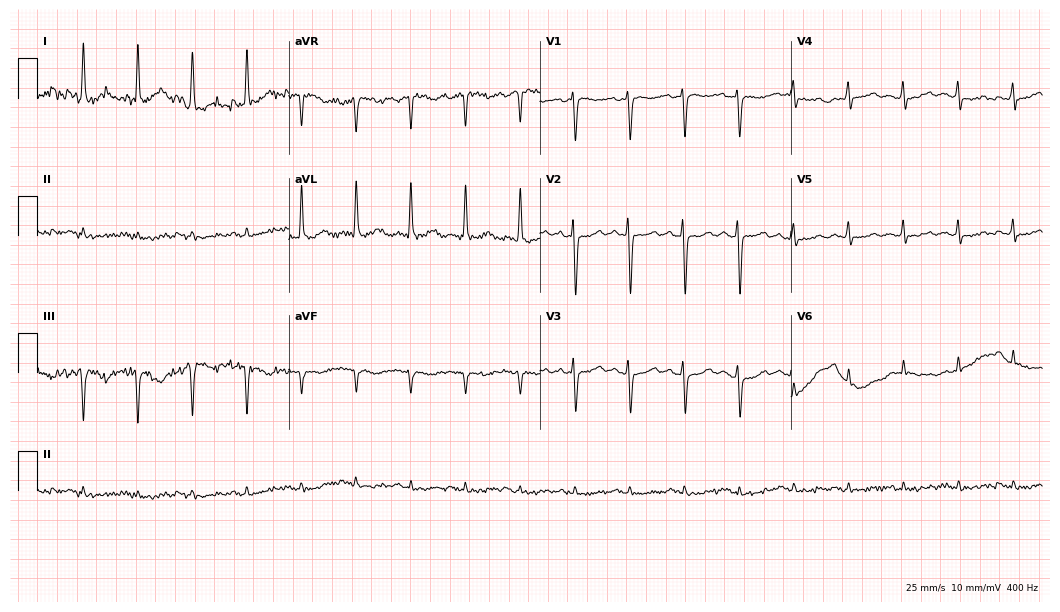
12-lead ECG from a 58-year-old female patient. Screened for six findings — first-degree AV block, right bundle branch block, left bundle branch block, sinus bradycardia, atrial fibrillation, sinus tachycardia — none is recorded. Only these six findings were labelled.